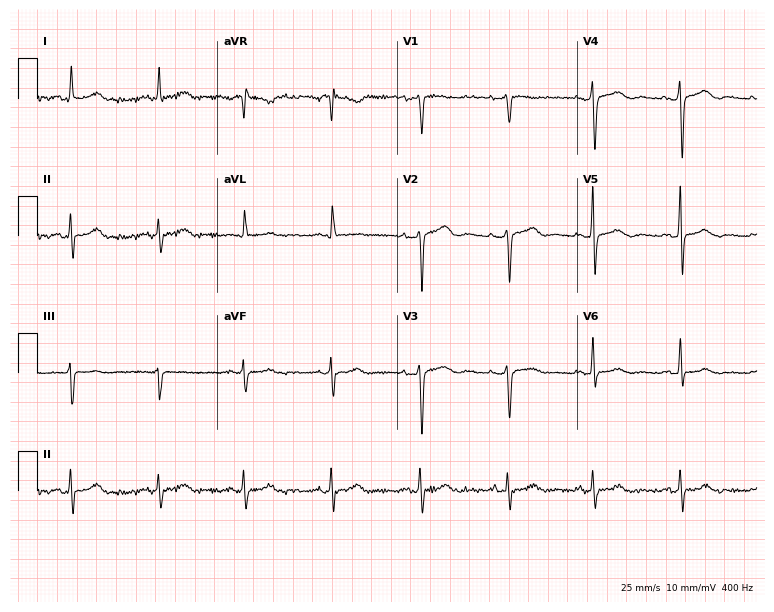
Resting 12-lead electrocardiogram (7.3-second recording at 400 Hz). Patient: a female, 79 years old. None of these six findings is recorded: first-degree AV block, right bundle branch block (RBBB), left bundle branch block (LBBB), sinus bradycardia, atrial fibrillation (AF), sinus tachycardia. Only these six findings were labelled.